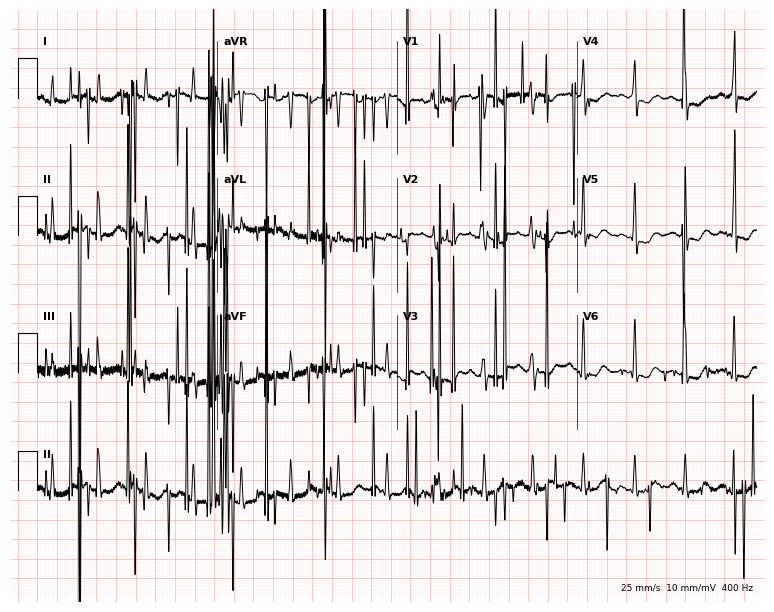
12-lead ECG (7.3-second recording at 400 Hz) from a 31-year-old female patient. Screened for six findings — first-degree AV block, right bundle branch block (RBBB), left bundle branch block (LBBB), sinus bradycardia, atrial fibrillation (AF), sinus tachycardia — none is recorded.